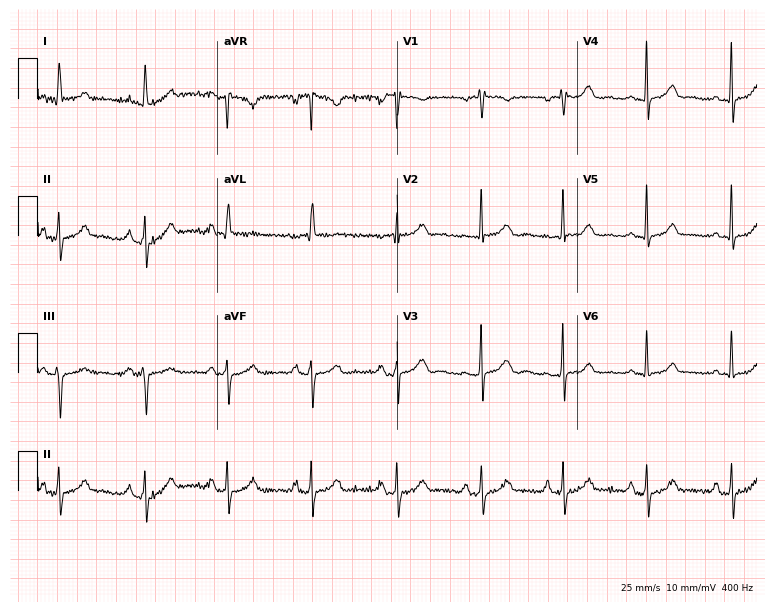
Electrocardiogram, a 61-year-old female patient. Of the six screened findings (first-degree AV block, right bundle branch block, left bundle branch block, sinus bradycardia, atrial fibrillation, sinus tachycardia), none is recorded.